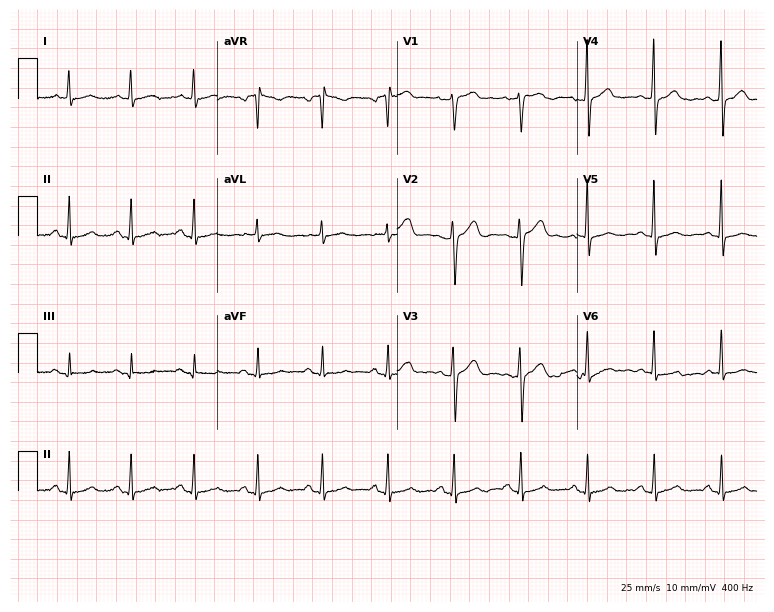
Standard 12-lead ECG recorded from a 63-year-old female patient (7.3-second recording at 400 Hz). None of these six findings is recorded: first-degree AV block, right bundle branch block (RBBB), left bundle branch block (LBBB), sinus bradycardia, atrial fibrillation (AF), sinus tachycardia.